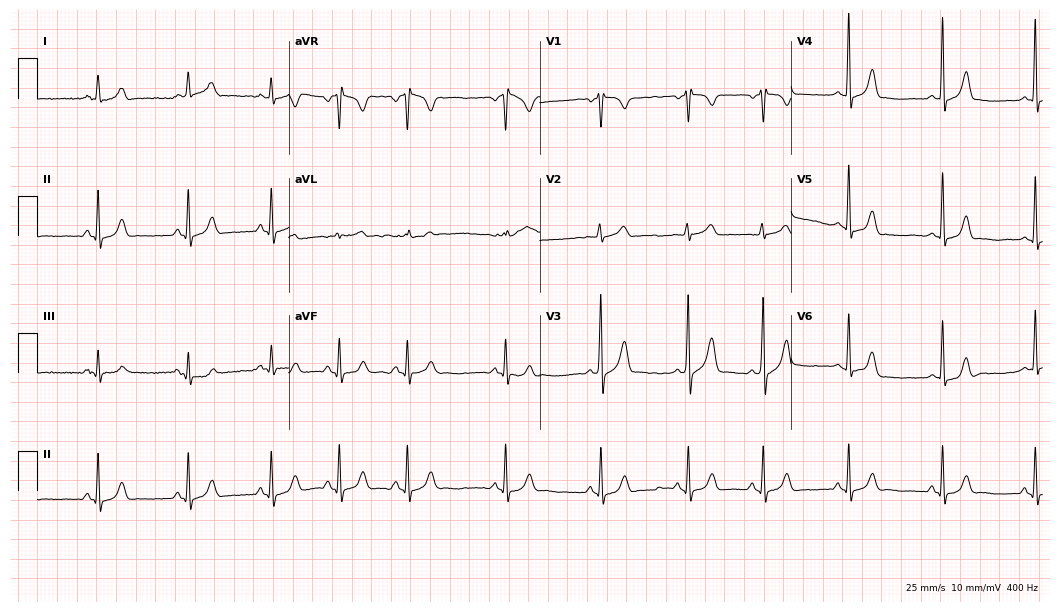
12-lead ECG from an 18-year-old female patient (10.2-second recording at 400 Hz). No first-degree AV block, right bundle branch block (RBBB), left bundle branch block (LBBB), sinus bradycardia, atrial fibrillation (AF) or sinus tachycardia recorded for this tracing. Other findings, if any, are not listed.